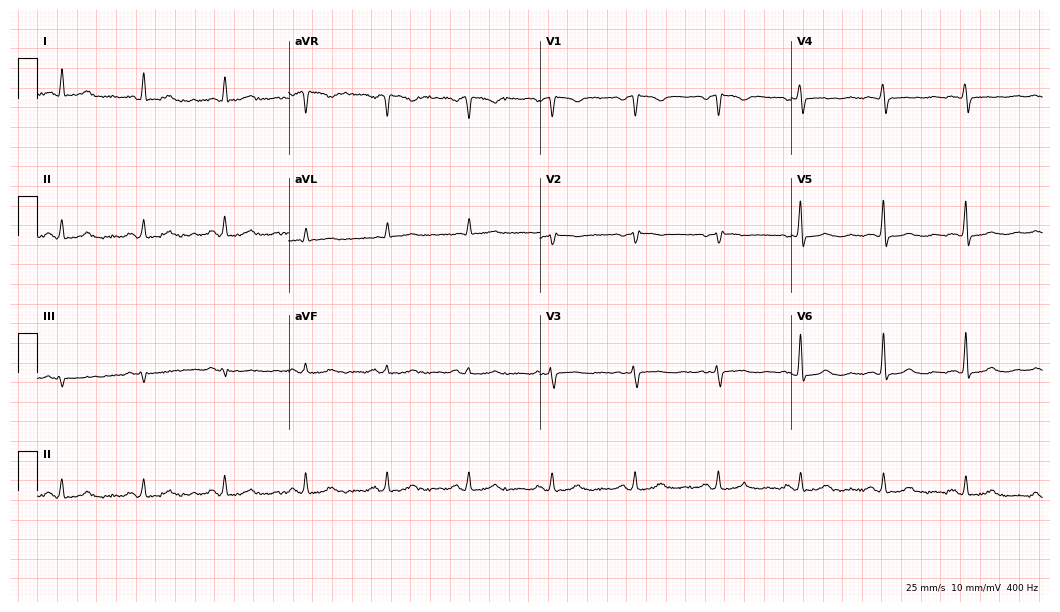
Standard 12-lead ECG recorded from a woman, 61 years old (10.2-second recording at 400 Hz). None of these six findings is recorded: first-degree AV block, right bundle branch block (RBBB), left bundle branch block (LBBB), sinus bradycardia, atrial fibrillation (AF), sinus tachycardia. Only these six findings were labelled.